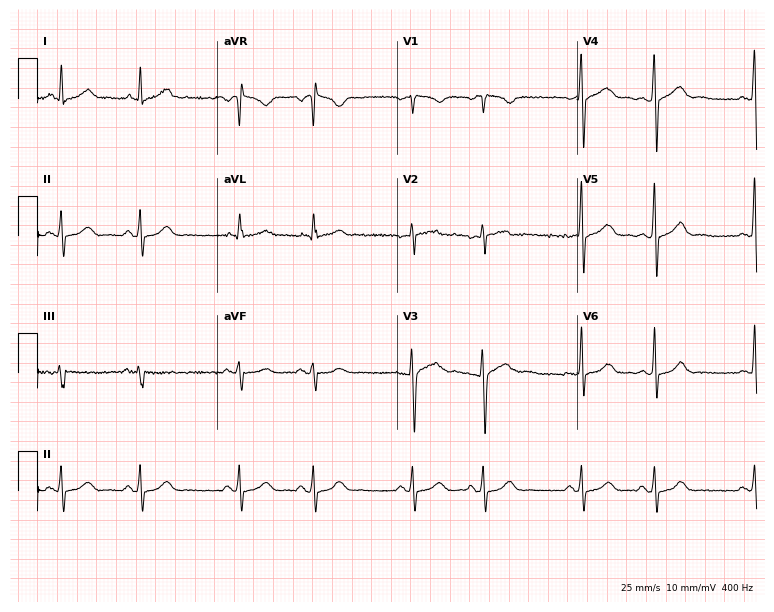
Electrocardiogram (7.3-second recording at 400 Hz), a 42-year-old woman. Of the six screened findings (first-degree AV block, right bundle branch block, left bundle branch block, sinus bradycardia, atrial fibrillation, sinus tachycardia), none is recorded. Only these six findings were labelled.